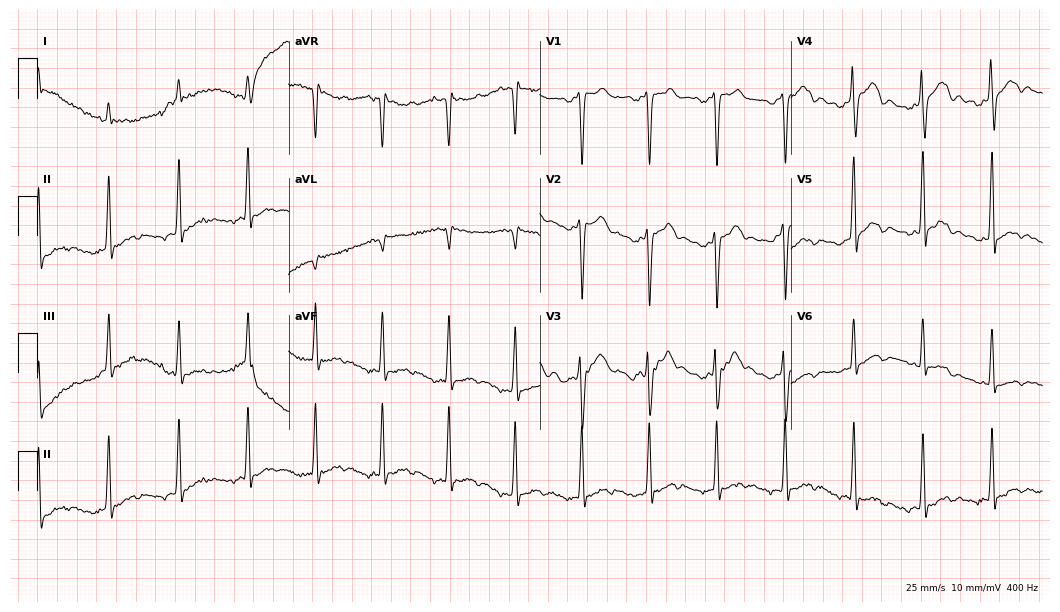
ECG — a male patient, 22 years old. Screened for six findings — first-degree AV block, right bundle branch block (RBBB), left bundle branch block (LBBB), sinus bradycardia, atrial fibrillation (AF), sinus tachycardia — none is recorded. Only these six findings were labelled.